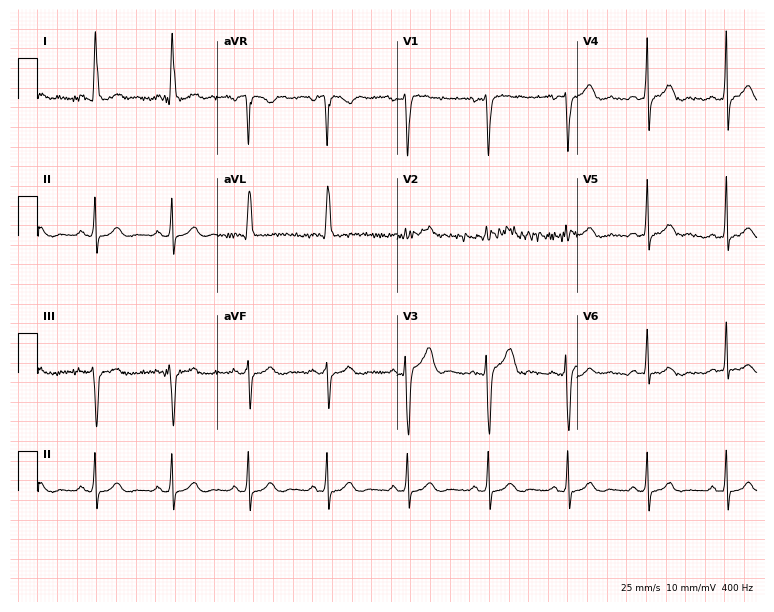
12-lead ECG from a 55-year-old female patient. Screened for six findings — first-degree AV block, right bundle branch block (RBBB), left bundle branch block (LBBB), sinus bradycardia, atrial fibrillation (AF), sinus tachycardia — none is recorded. Findings outside these six are not listed.